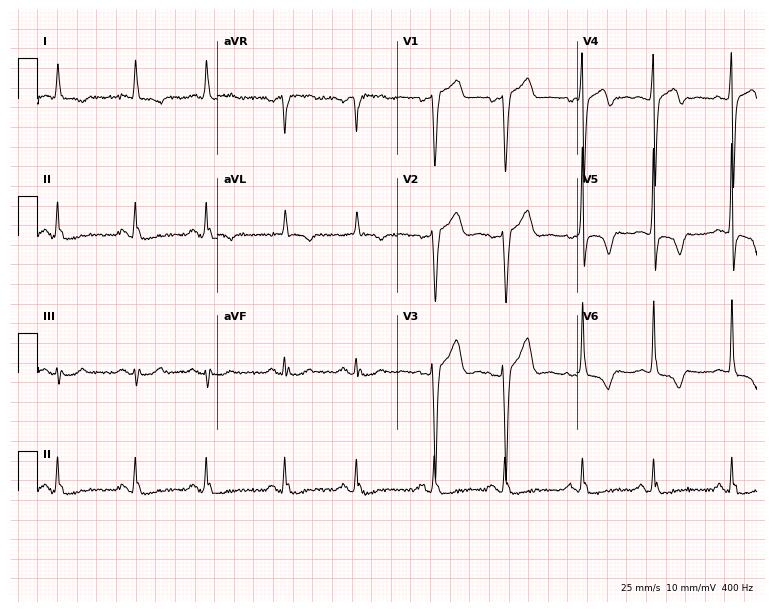
Standard 12-lead ECG recorded from a male, 57 years old. None of these six findings is recorded: first-degree AV block, right bundle branch block, left bundle branch block, sinus bradycardia, atrial fibrillation, sinus tachycardia.